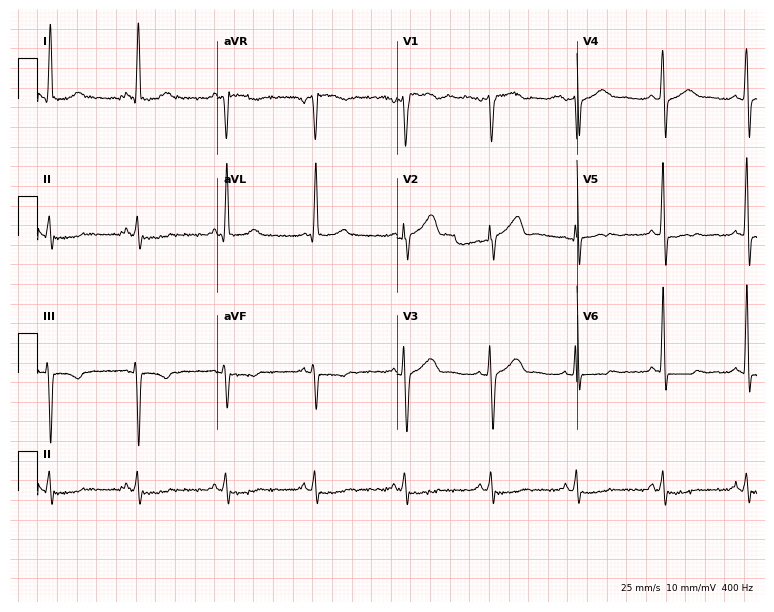
ECG (7.3-second recording at 400 Hz) — a 51-year-old male. Screened for six findings — first-degree AV block, right bundle branch block, left bundle branch block, sinus bradycardia, atrial fibrillation, sinus tachycardia — none is recorded. Other findings, if any, are not listed.